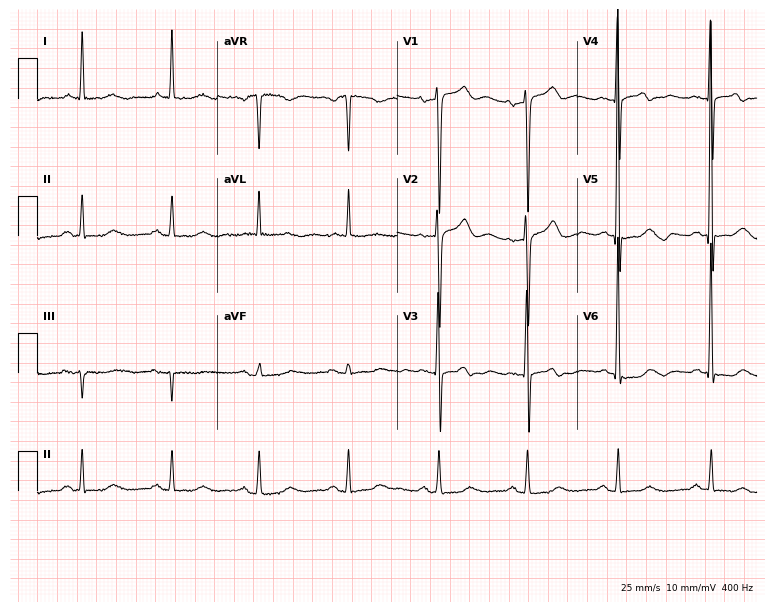
12-lead ECG from a 69-year-old female patient. No first-degree AV block, right bundle branch block, left bundle branch block, sinus bradycardia, atrial fibrillation or sinus tachycardia recorded for this tracing.